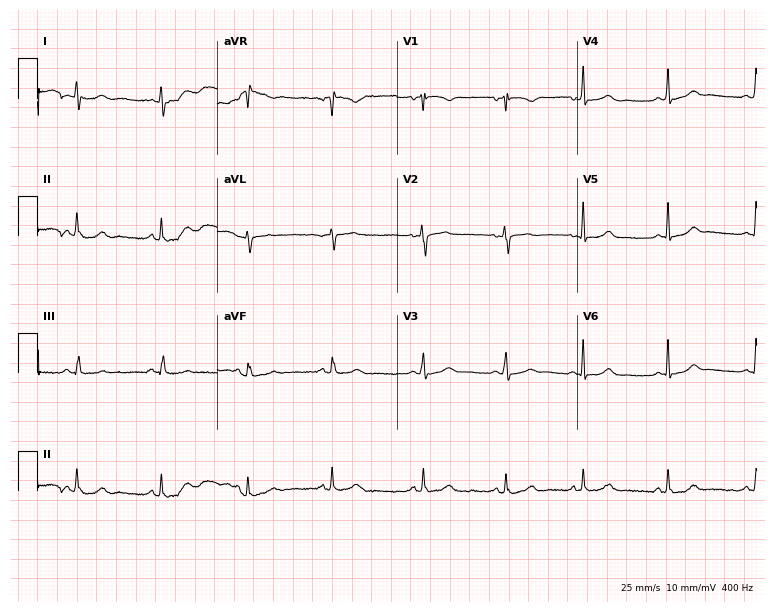
ECG — a 17-year-old woman. Screened for six findings — first-degree AV block, right bundle branch block (RBBB), left bundle branch block (LBBB), sinus bradycardia, atrial fibrillation (AF), sinus tachycardia — none is recorded.